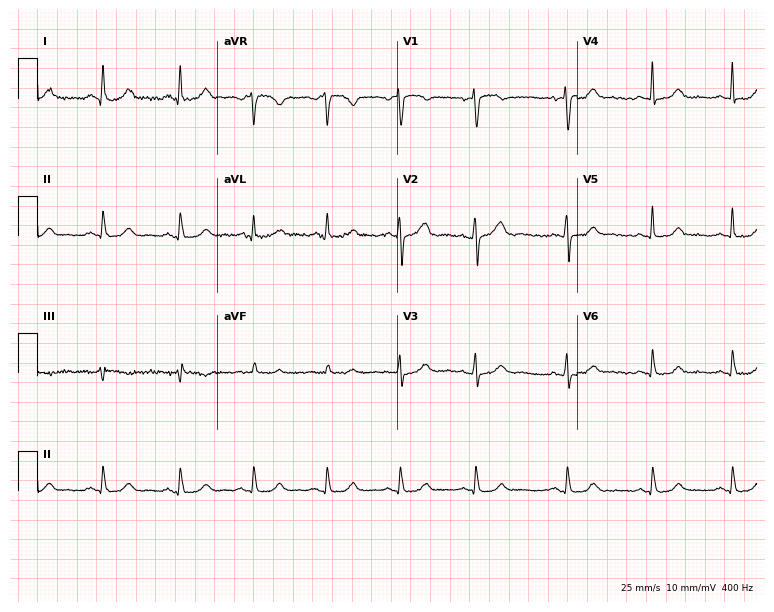
12-lead ECG from a 53-year-old female (7.3-second recording at 400 Hz). No first-degree AV block, right bundle branch block, left bundle branch block, sinus bradycardia, atrial fibrillation or sinus tachycardia recorded for this tracing. Findings outside these six are not listed.